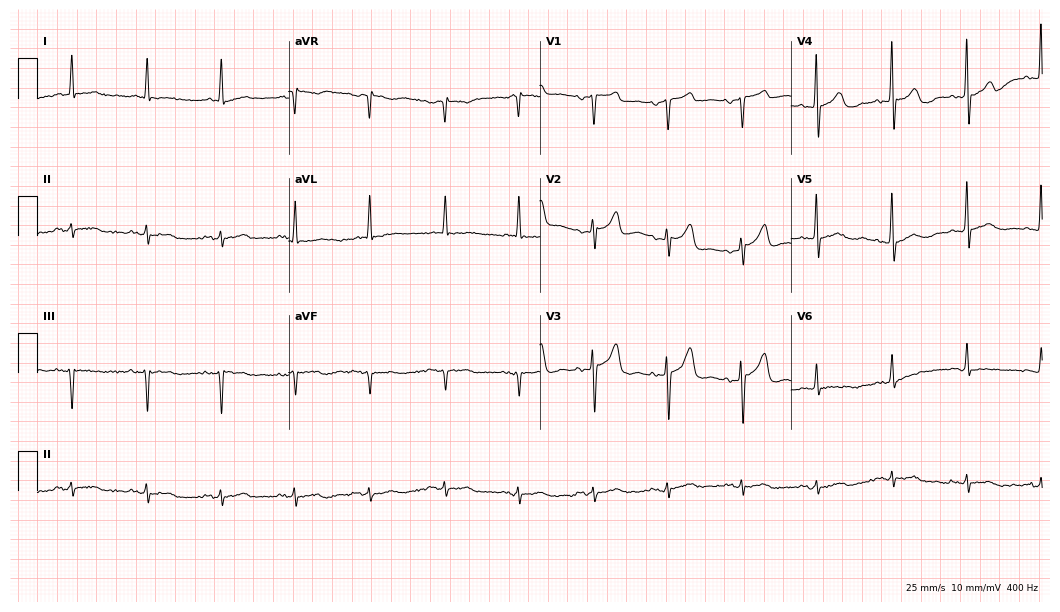
Standard 12-lead ECG recorded from a man, 70 years old. Read as a normal ECG.